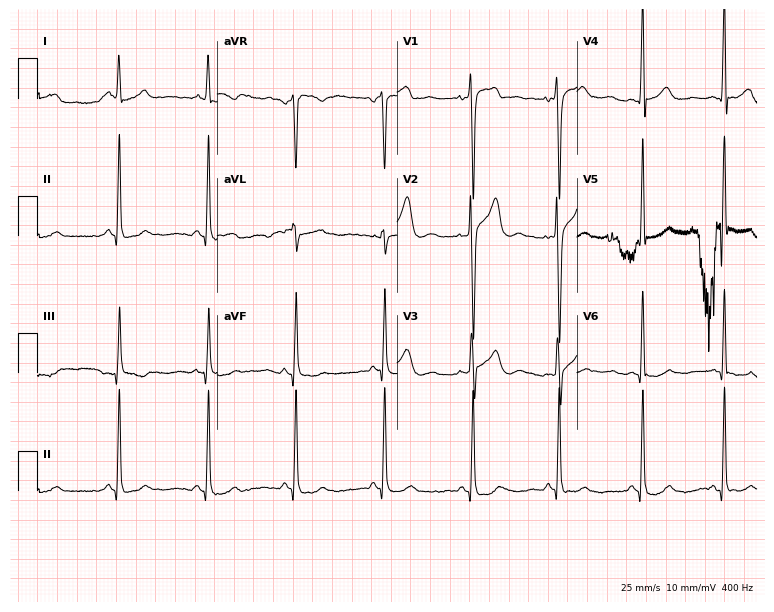
12-lead ECG (7.3-second recording at 400 Hz) from a male patient, 49 years old. Screened for six findings — first-degree AV block, right bundle branch block (RBBB), left bundle branch block (LBBB), sinus bradycardia, atrial fibrillation (AF), sinus tachycardia — none is recorded.